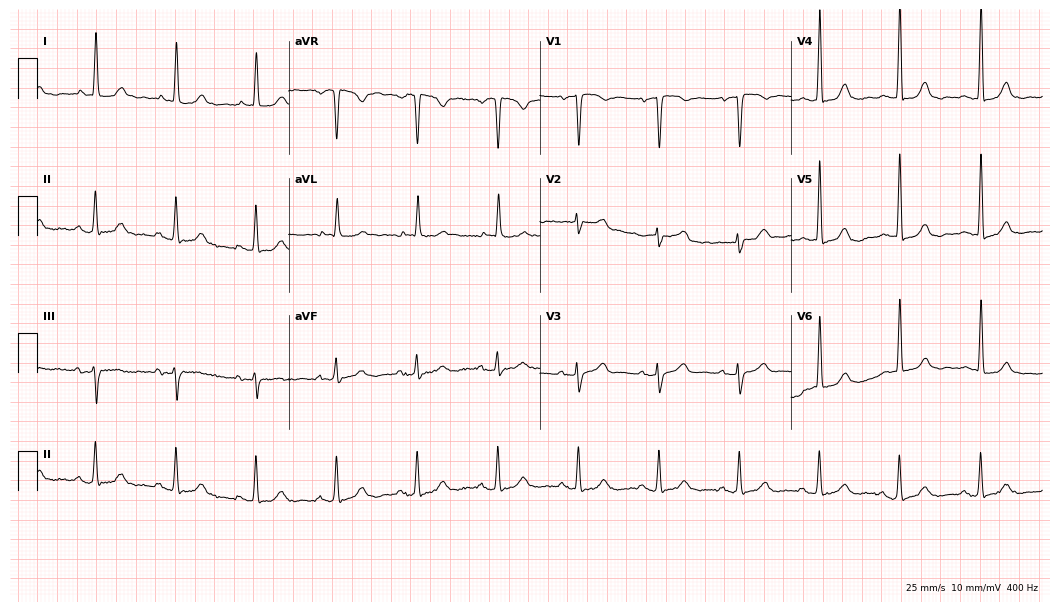
Electrocardiogram (10.2-second recording at 400 Hz), an 85-year-old female patient. Overall reading on record: normal ECG.